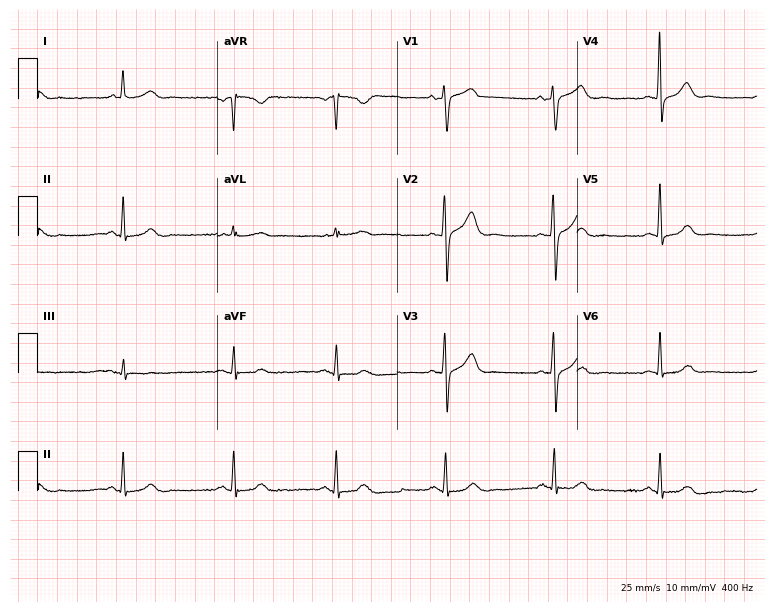
12-lead ECG (7.3-second recording at 400 Hz) from a female patient, 70 years old. Screened for six findings — first-degree AV block, right bundle branch block (RBBB), left bundle branch block (LBBB), sinus bradycardia, atrial fibrillation (AF), sinus tachycardia — none is recorded. Other findings, if any, are not listed.